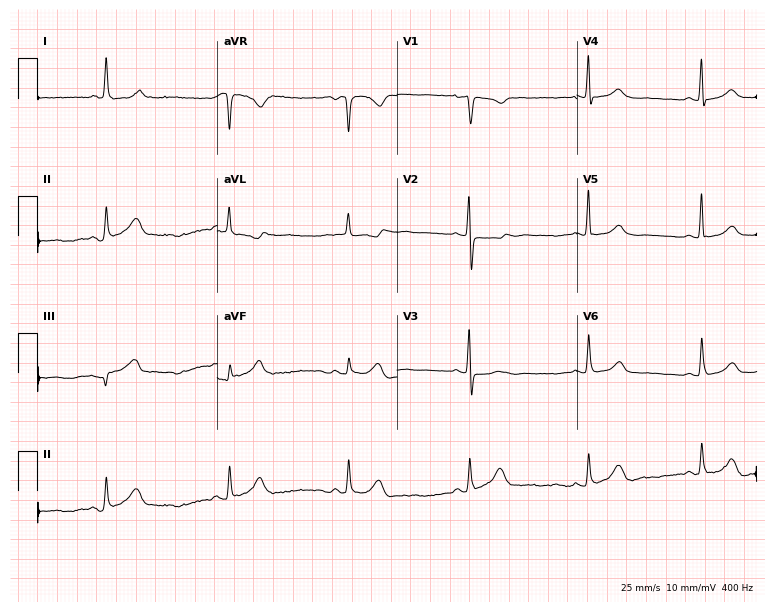
12-lead ECG from a 59-year-old female. No first-degree AV block, right bundle branch block, left bundle branch block, sinus bradycardia, atrial fibrillation or sinus tachycardia recorded for this tracing. Other findings, if any, are not listed.